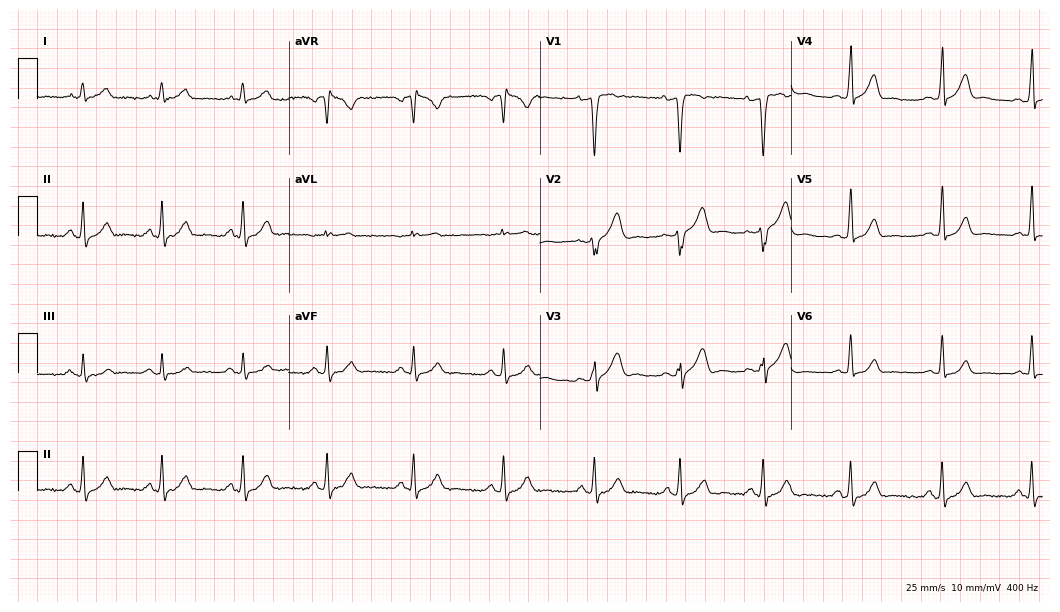
ECG (10.2-second recording at 400 Hz) — a 39-year-old man. Screened for six findings — first-degree AV block, right bundle branch block (RBBB), left bundle branch block (LBBB), sinus bradycardia, atrial fibrillation (AF), sinus tachycardia — none is recorded. Only these six findings were labelled.